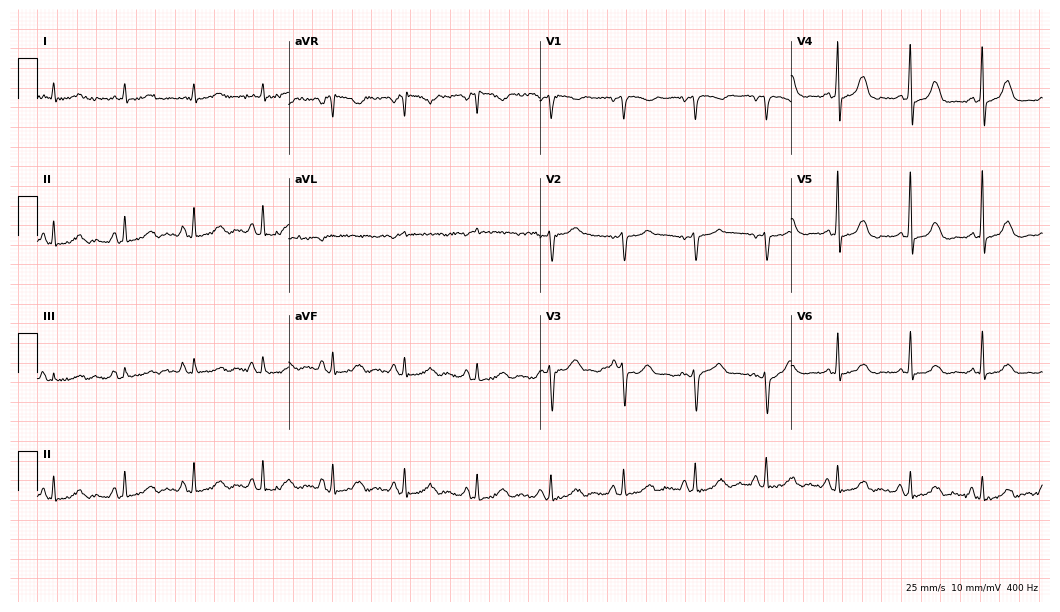
Standard 12-lead ECG recorded from a female, 64 years old (10.2-second recording at 400 Hz). Read as a normal ECG.